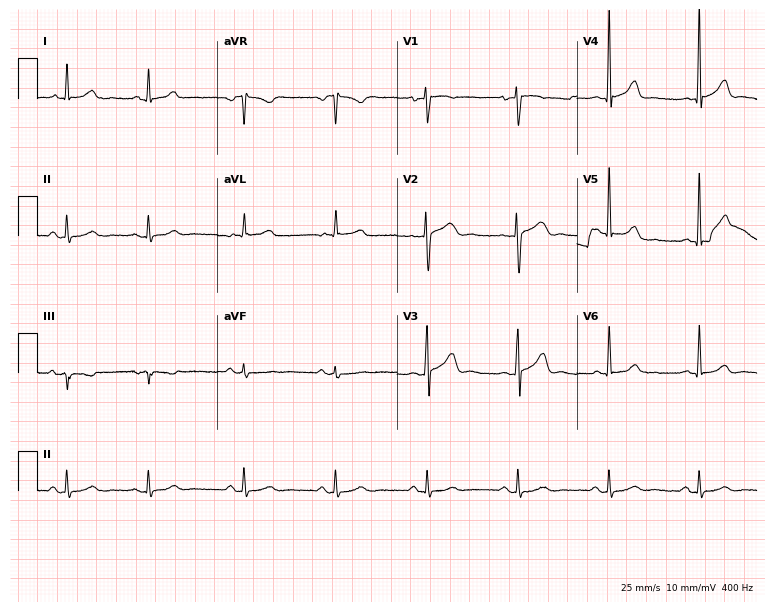
Electrocardiogram (7.3-second recording at 400 Hz), a man, 63 years old. Overall reading on record: normal ECG.